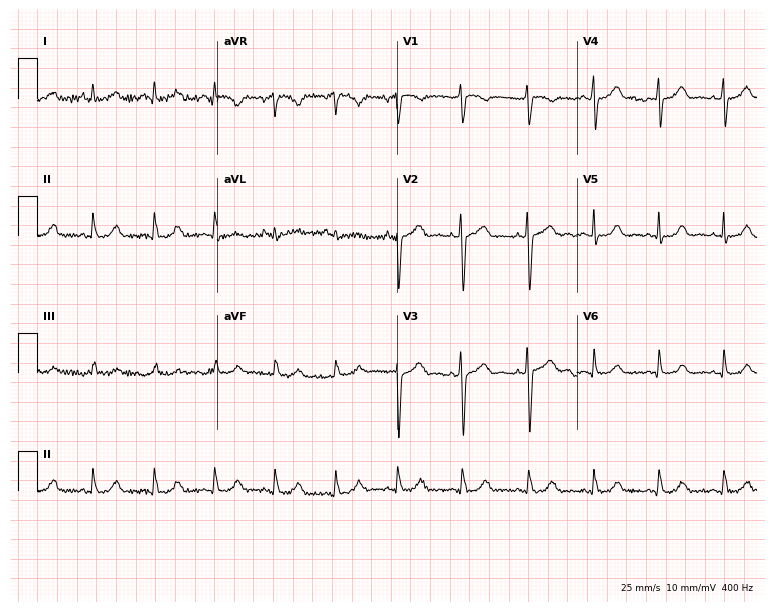
12-lead ECG from a female, 34 years old. No first-degree AV block, right bundle branch block, left bundle branch block, sinus bradycardia, atrial fibrillation or sinus tachycardia recorded for this tracing. Other findings, if any, are not listed.